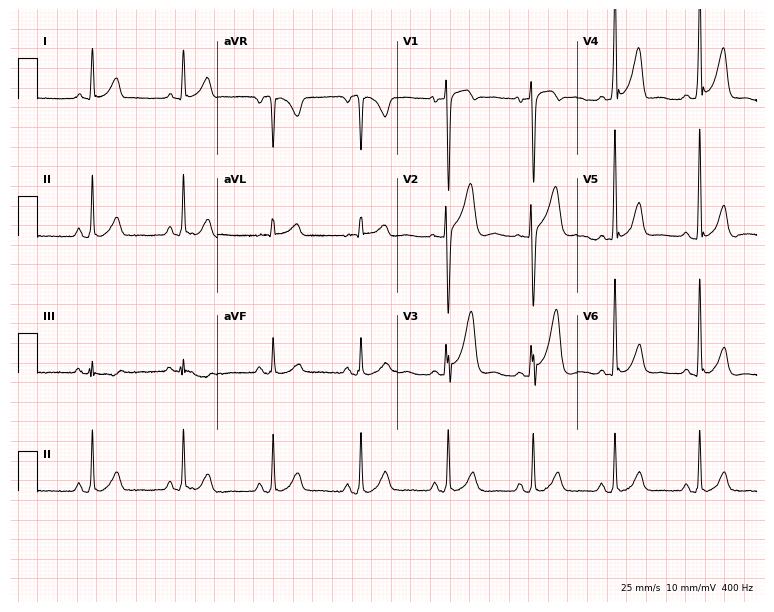
Standard 12-lead ECG recorded from a 32-year-old man (7.3-second recording at 400 Hz). None of these six findings is recorded: first-degree AV block, right bundle branch block, left bundle branch block, sinus bradycardia, atrial fibrillation, sinus tachycardia.